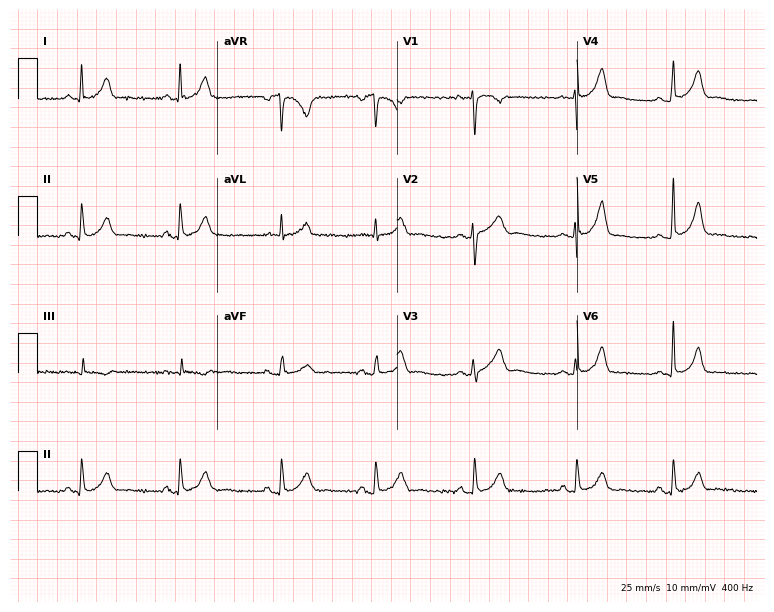
Electrocardiogram, a 37-year-old female. Of the six screened findings (first-degree AV block, right bundle branch block, left bundle branch block, sinus bradycardia, atrial fibrillation, sinus tachycardia), none is recorded. Findings outside these six are not listed.